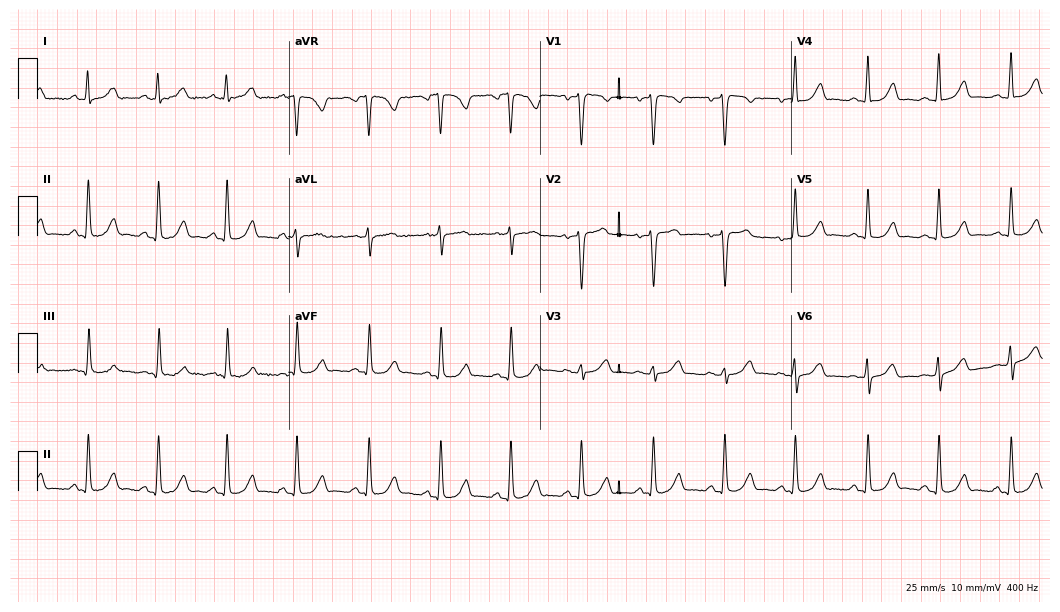
ECG — a female, 29 years old. Labelled as a normal ECG.